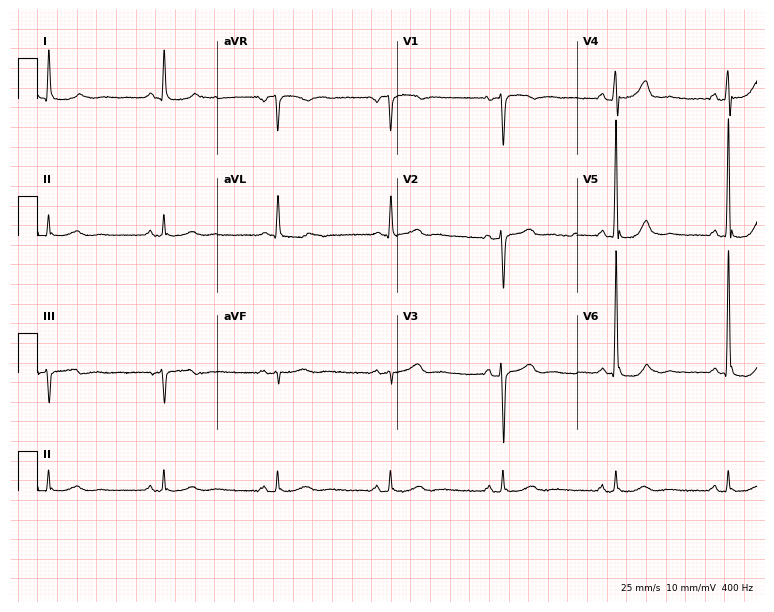
Standard 12-lead ECG recorded from a male, 74 years old. Read as a normal ECG.